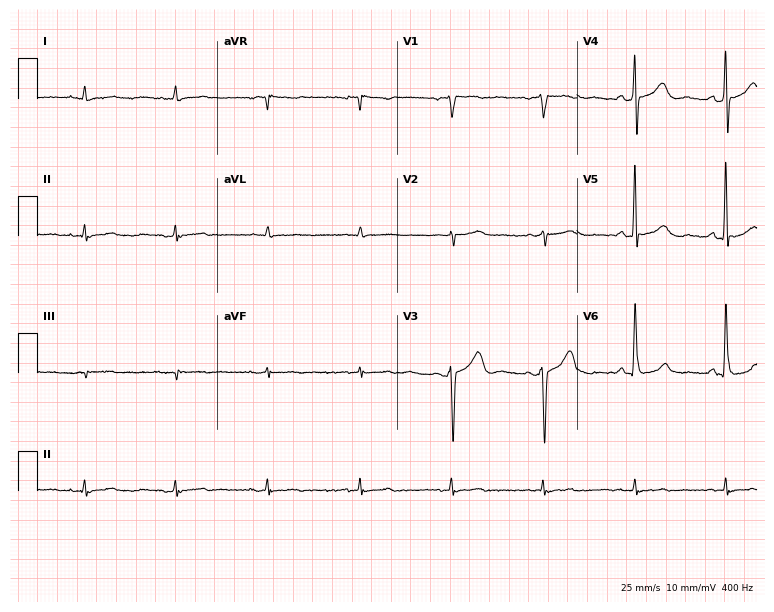
12-lead ECG (7.3-second recording at 400 Hz) from a man, 77 years old. Labelled as a normal ECG.